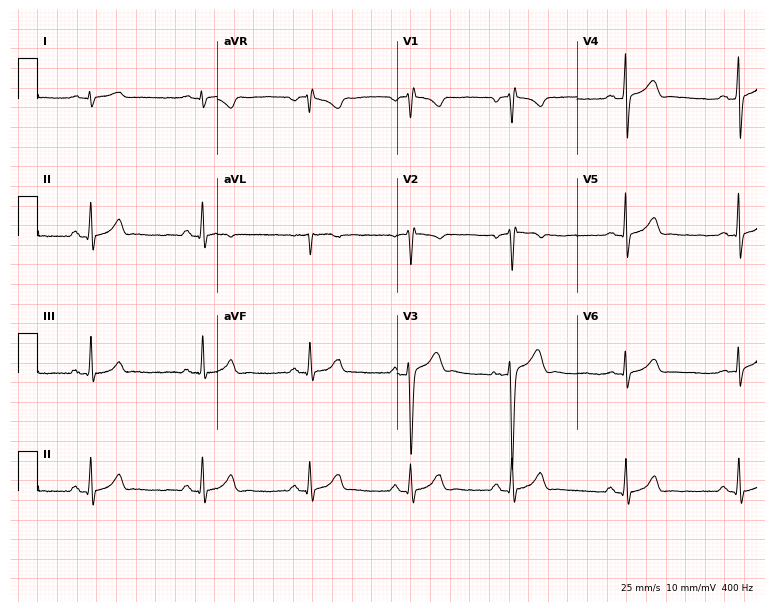
ECG (7.3-second recording at 400 Hz) — a 29-year-old male patient. Screened for six findings — first-degree AV block, right bundle branch block, left bundle branch block, sinus bradycardia, atrial fibrillation, sinus tachycardia — none is recorded.